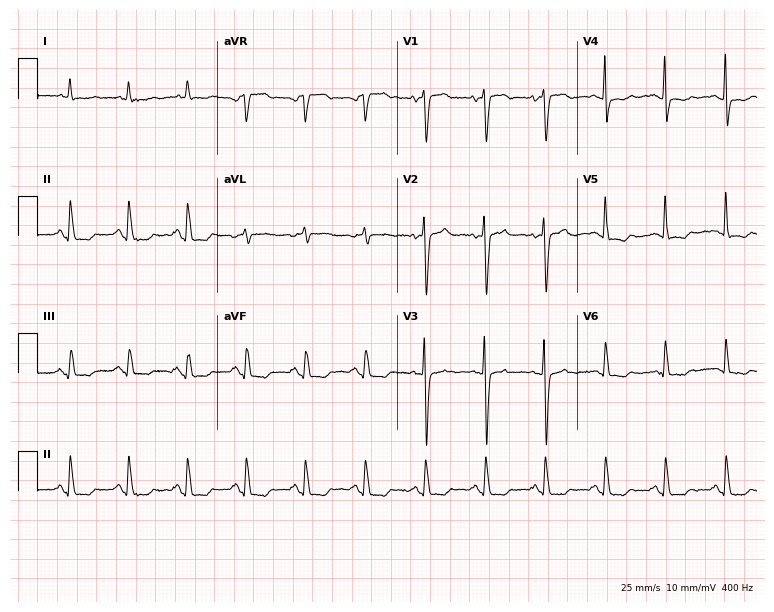
ECG (7.3-second recording at 400 Hz) — a 54-year-old female patient. Screened for six findings — first-degree AV block, right bundle branch block (RBBB), left bundle branch block (LBBB), sinus bradycardia, atrial fibrillation (AF), sinus tachycardia — none is recorded.